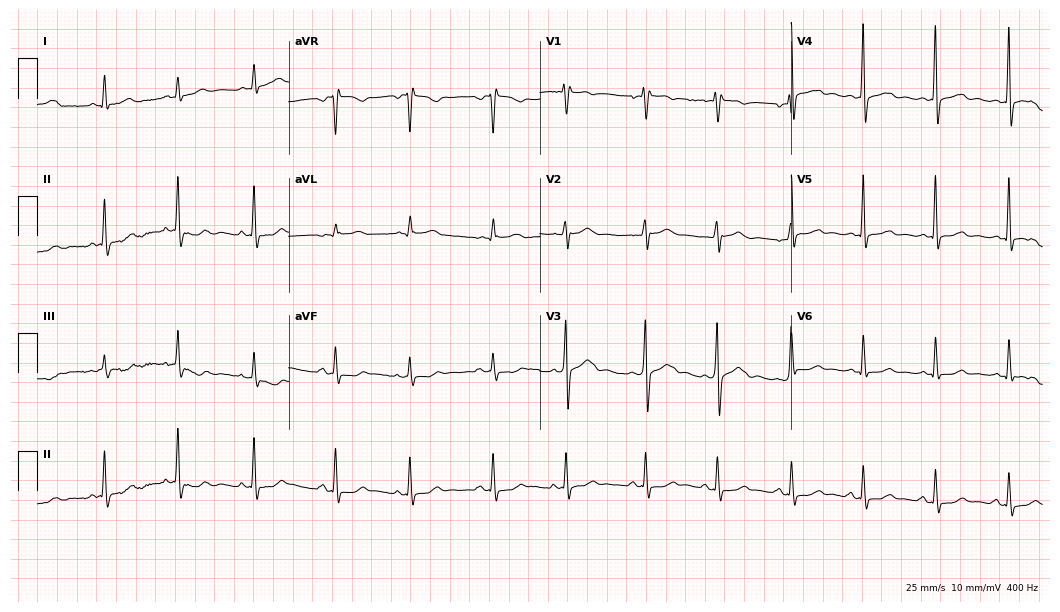
12-lead ECG from a man, 62 years old (10.2-second recording at 400 Hz). No first-degree AV block, right bundle branch block, left bundle branch block, sinus bradycardia, atrial fibrillation or sinus tachycardia recorded for this tracing.